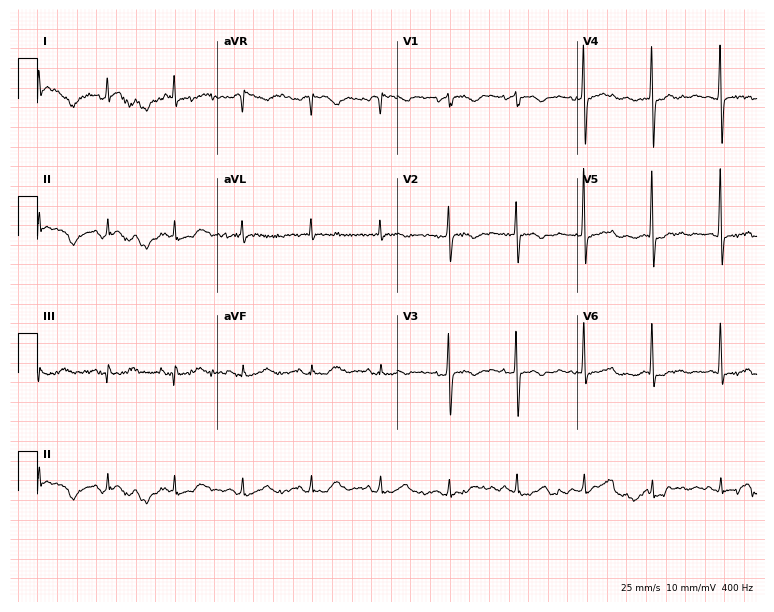
12-lead ECG from an 84-year-old female. Screened for six findings — first-degree AV block, right bundle branch block, left bundle branch block, sinus bradycardia, atrial fibrillation, sinus tachycardia — none is recorded.